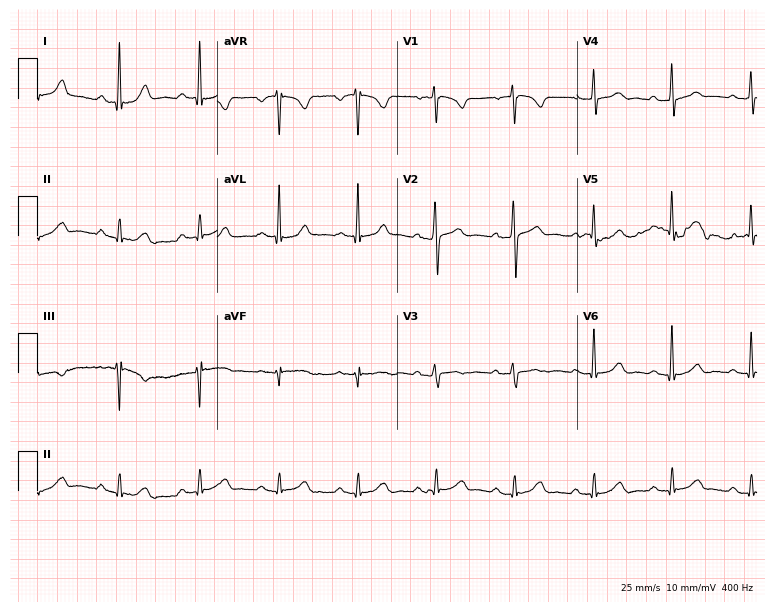
12-lead ECG from a 51-year-old man. Labelled as a normal ECG.